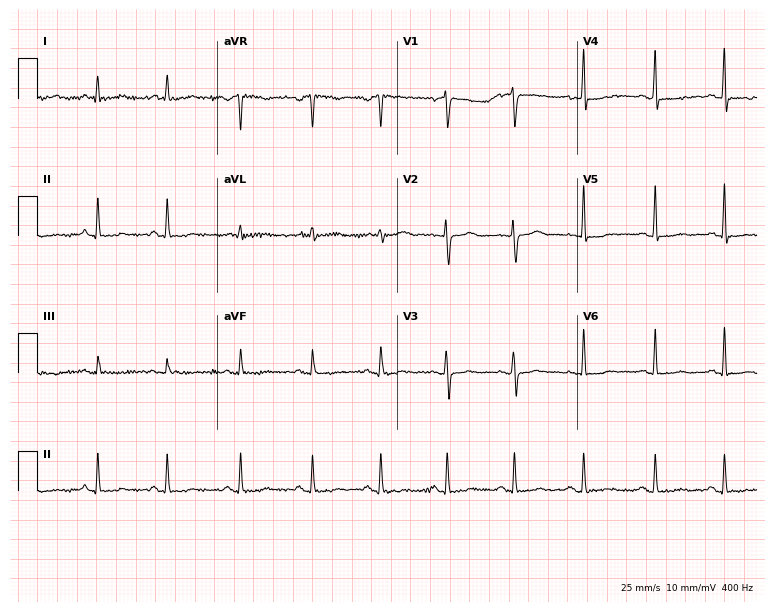
Resting 12-lead electrocardiogram (7.3-second recording at 400 Hz). Patient: a female, 43 years old. None of these six findings is recorded: first-degree AV block, right bundle branch block (RBBB), left bundle branch block (LBBB), sinus bradycardia, atrial fibrillation (AF), sinus tachycardia. Findings outside these six are not listed.